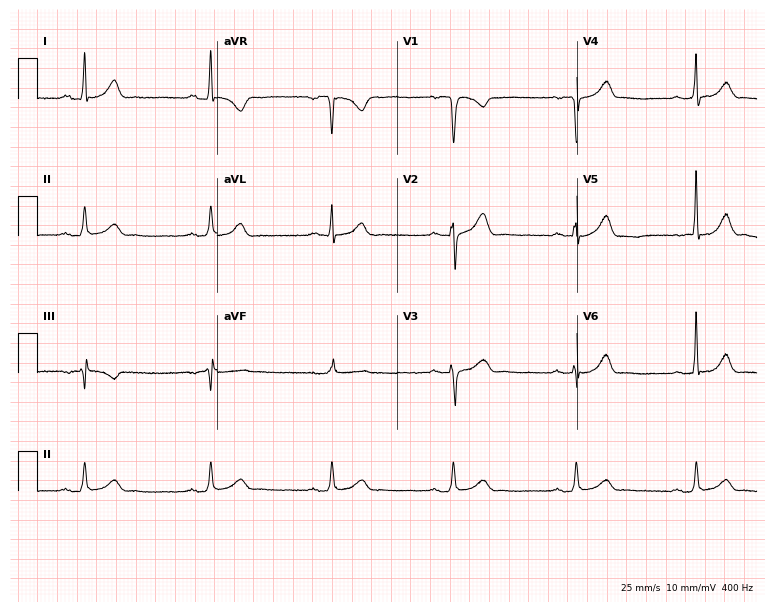
Resting 12-lead electrocardiogram (7.3-second recording at 400 Hz). Patient: a male, 44 years old. The tracing shows sinus bradycardia (a sinus rate of 50 beats per minute or less).